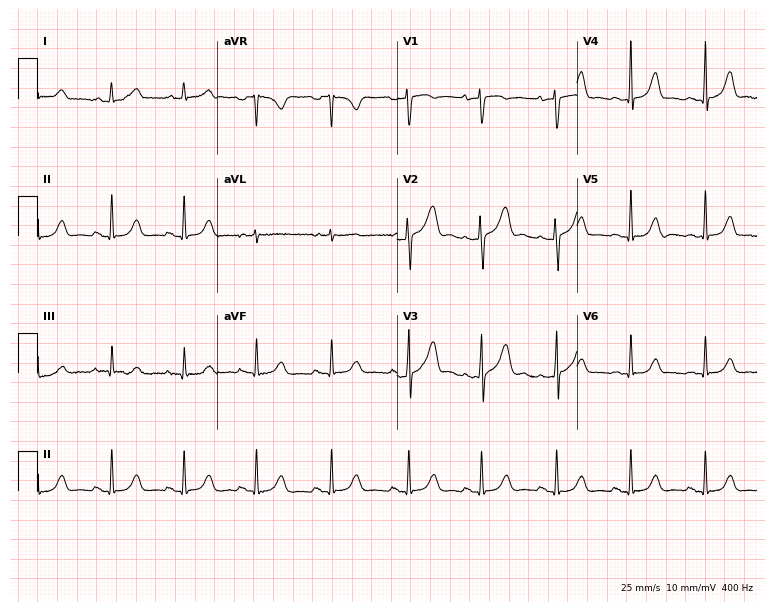
12-lead ECG from a female, 27 years old (7.3-second recording at 400 Hz). No first-degree AV block, right bundle branch block (RBBB), left bundle branch block (LBBB), sinus bradycardia, atrial fibrillation (AF) or sinus tachycardia recorded for this tracing.